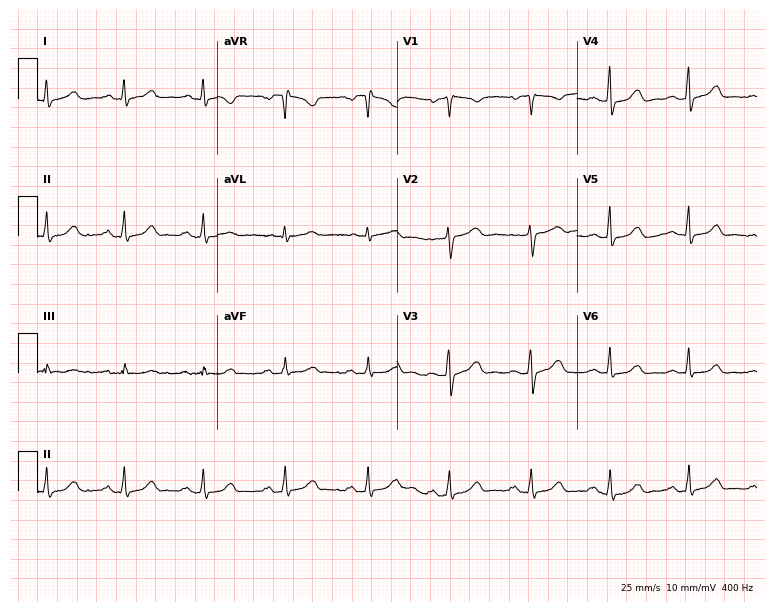
ECG — a 31-year-old female patient. Screened for six findings — first-degree AV block, right bundle branch block, left bundle branch block, sinus bradycardia, atrial fibrillation, sinus tachycardia — none is recorded. Only these six findings were labelled.